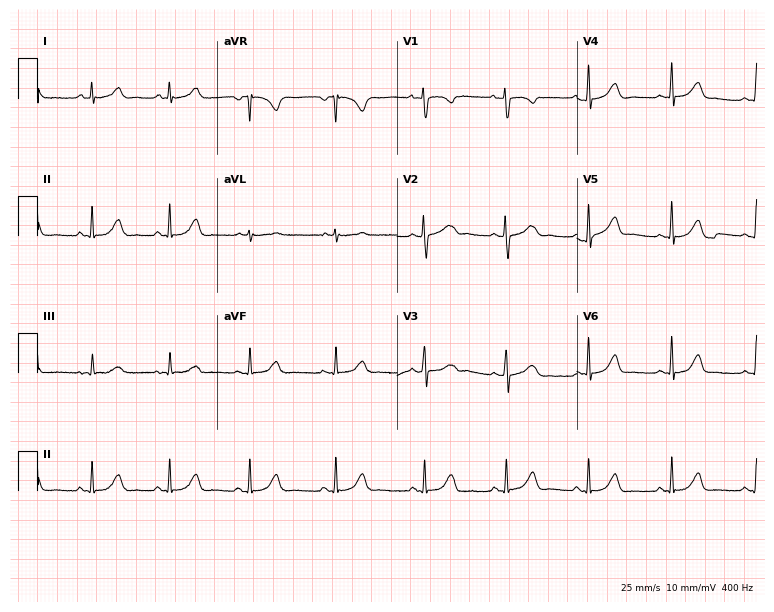
12-lead ECG from a woman, 25 years old (7.3-second recording at 400 Hz). Recorded interpretation: within normal limits.